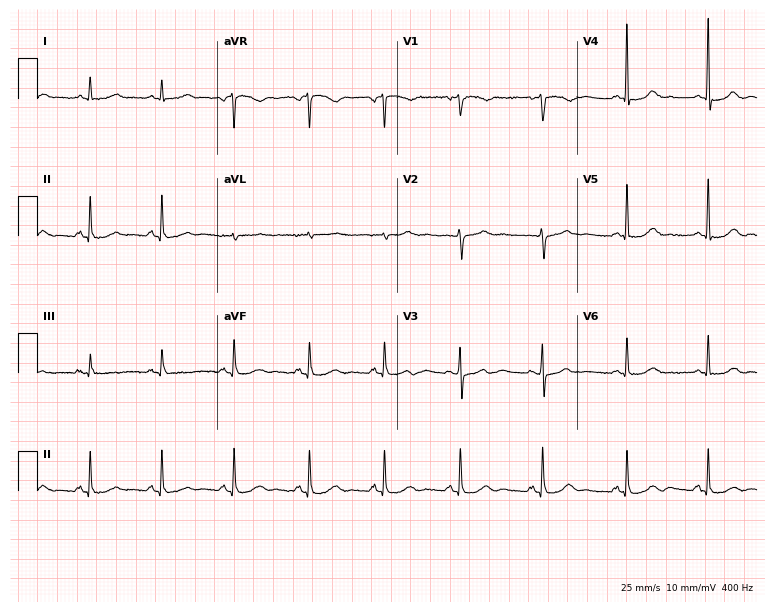
ECG (7.3-second recording at 400 Hz) — a 68-year-old woman. Labelled as a normal ECG.